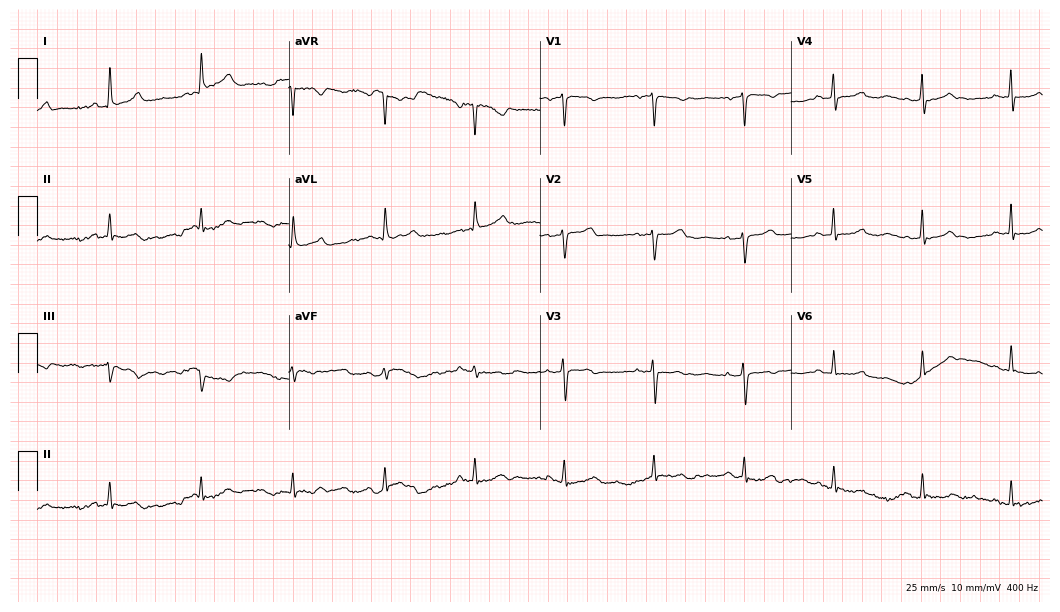
12-lead ECG from a 67-year-old female. Screened for six findings — first-degree AV block, right bundle branch block, left bundle branch block, sinus bradycardia, atrial fibrillation, sinus tachycardia — none is recorded. Only these six findings were labelled.